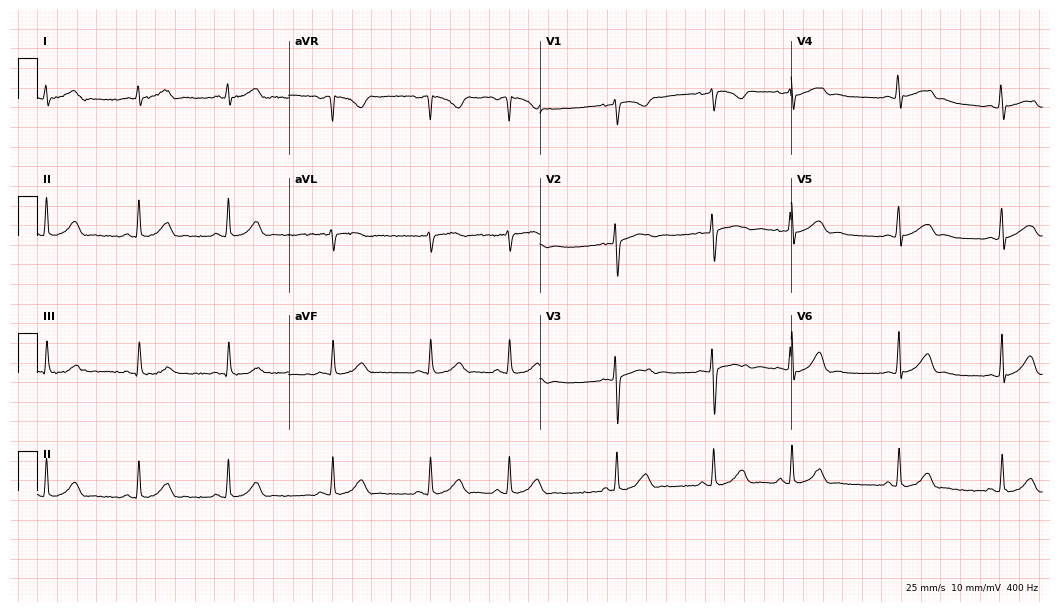
12-lead ECG from a female, 19 years old. Labelled as a normal ECG.